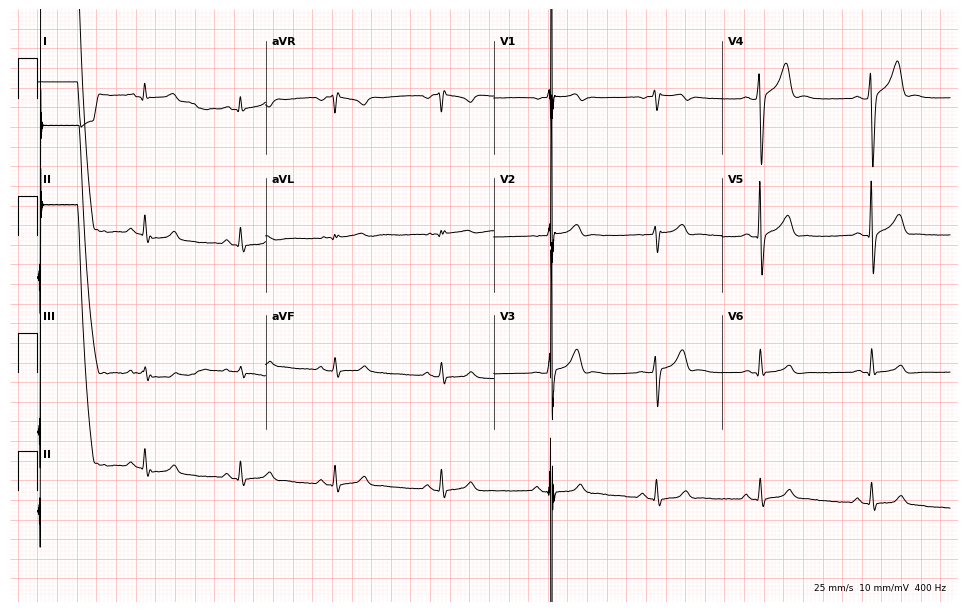
12-lead ECG from a male patient, 18 years old. Recorded interpretation: within normal limits.